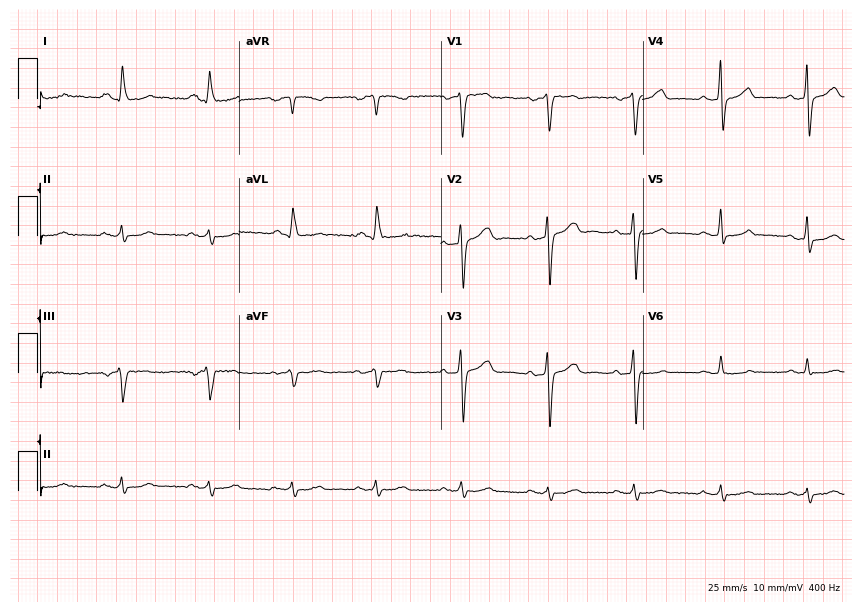
12-lead ECG (8.2-second recording at 400 Hz) from a 59-year-old woman. Screened for six findings — first-degree AV block, right bundle branch block, left bundle branch block, sinus bradycardia, atrial fibrillation, sinus tachycardia — none is recorded. Other findings, if any, are not listed.